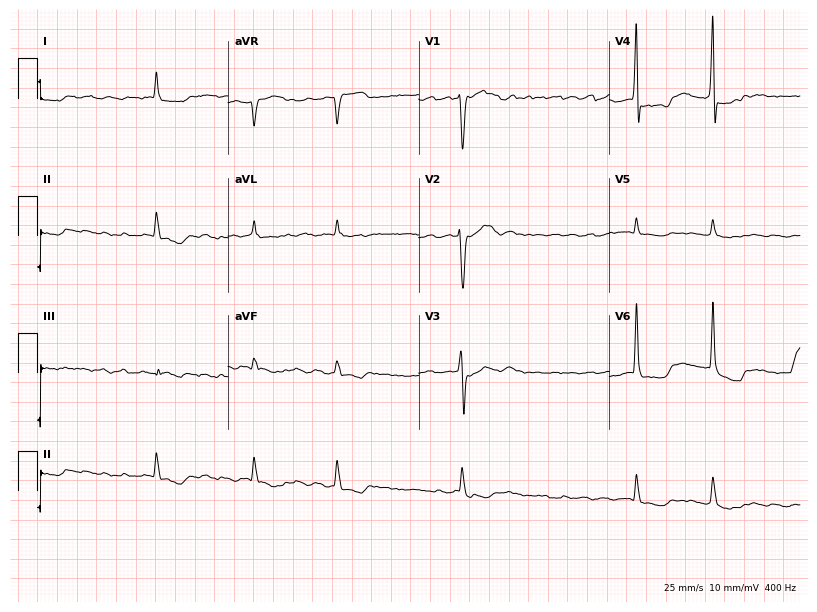
Resting 12-lead electrocardiogram. Patient: a 58-year-old male. The tracing shows atrial fibrillation.